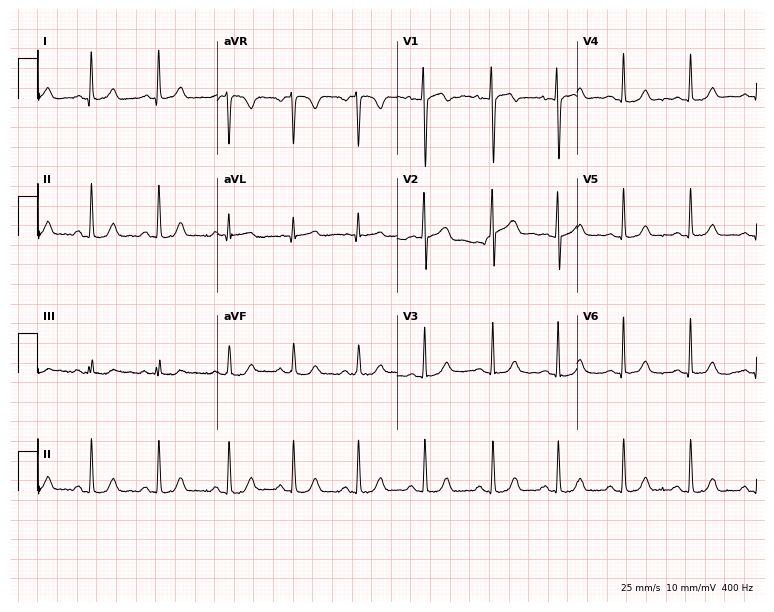
12-lead ECG from a female, 19 years old. Screened for six findings — first-degree AV block, right bundle branch block, left bundle branch block, sinus bradycardia, atrial fibrillation, sinus tachycardia — none is recorded. Findings outside these six are not listed.